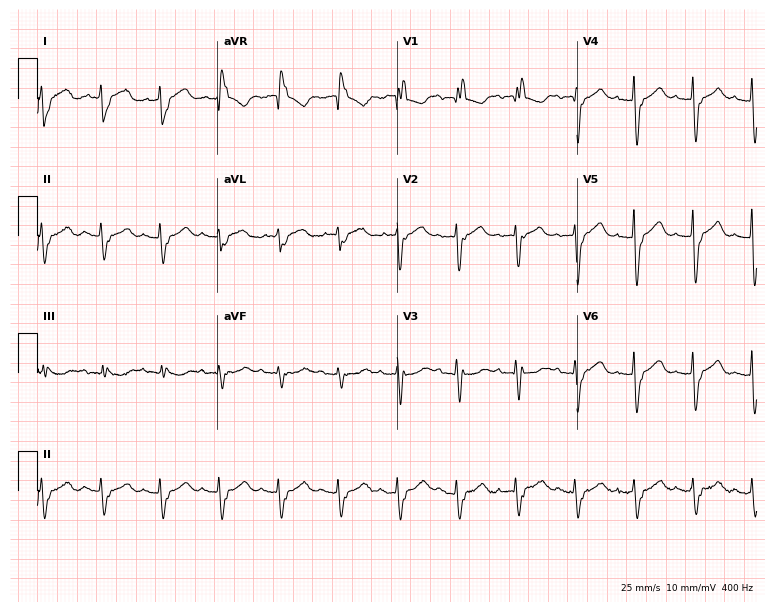
Resting 12-lead electrocardiogram. Patient: an 89-year-old female. None of these six findings is recorded: first-degree AV block, right bundle branch block, left bundle branch block, sinus bradycardia, atrial fibrillation, sinus tachycardia.